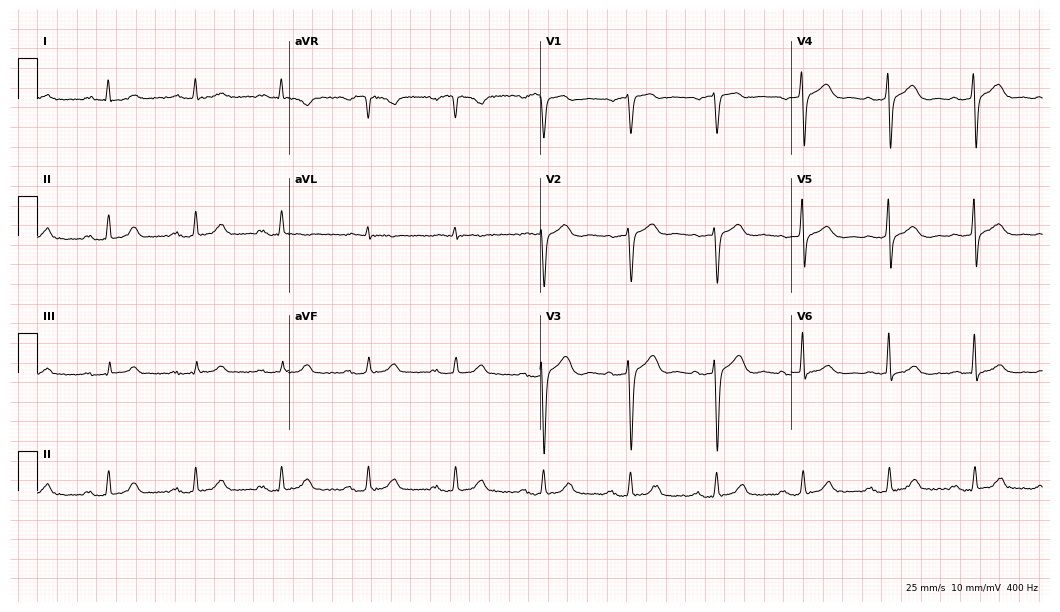
Standard 12-lead ECG recorded from a man, 58 years old. The tracing shows first-degree AV block.